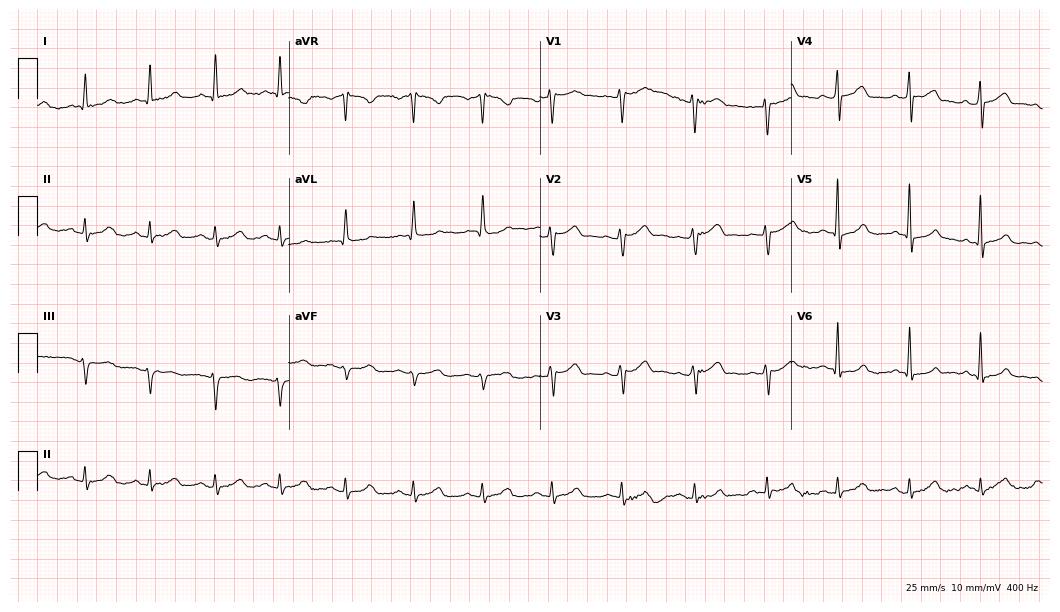
Electrocardiogram, a male, 46 years old. Overall reading on record: normal ECG.